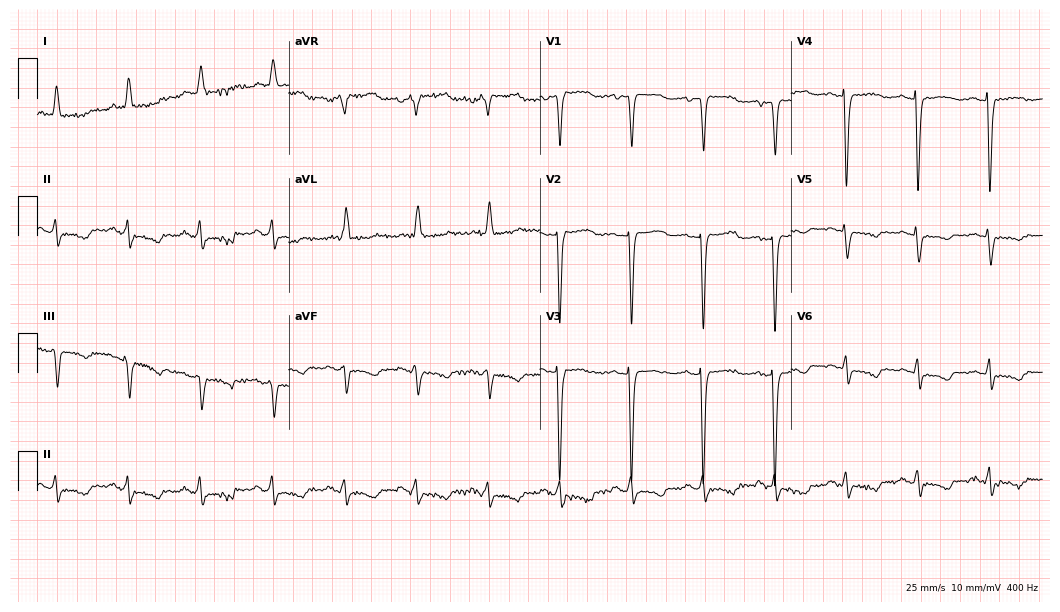
ECG (10.2-second recording at 400 Hz) — a 74-year-old female patient. Screened for six findings — first-degree AV block, right bundle branch block, left bundle branch block, sinus bradycardia, atrial fibrillation, sinus tachycardia — none is recorded. Only these six findings were labelled.